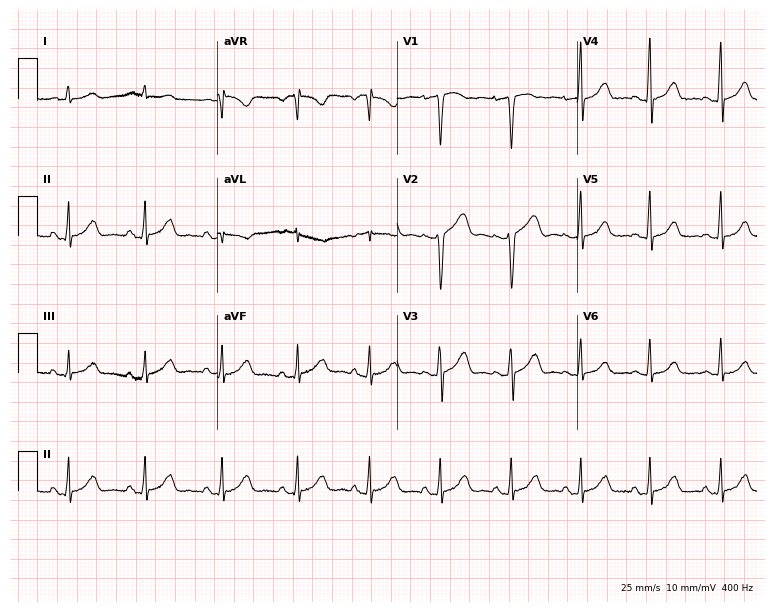
ECG (7.3-second recording at 400 Hz) — a 42-year-old female patient. Screened for six findings — first-degree AV block, right bundle branch block (RBBB), left bundle branch block (LBBB), sinus bradycardia, atrial fibrillation (AF), sinus tachycardia — none is recorded.